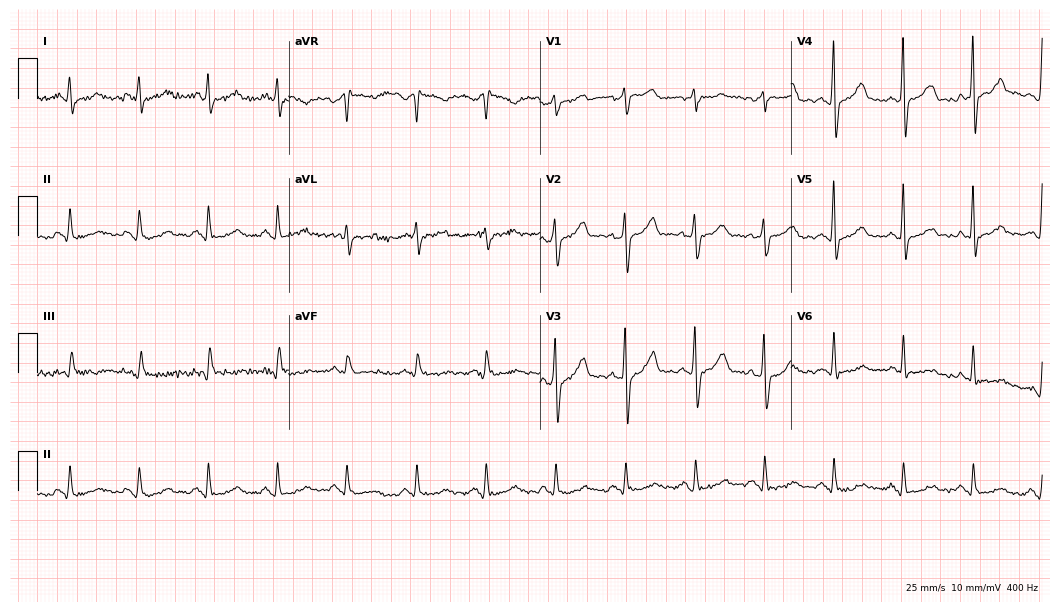
Standard 12-lead ECG recorded from a man, 49 years old. None of these six findings is recorded: first-degree AV block, right bundle branch block (RBBB), left bundle branch block (LBBB), sinus bradycardia, atrial fibrillation (AF), sinus tachycardia. Only these six findings were labelled.